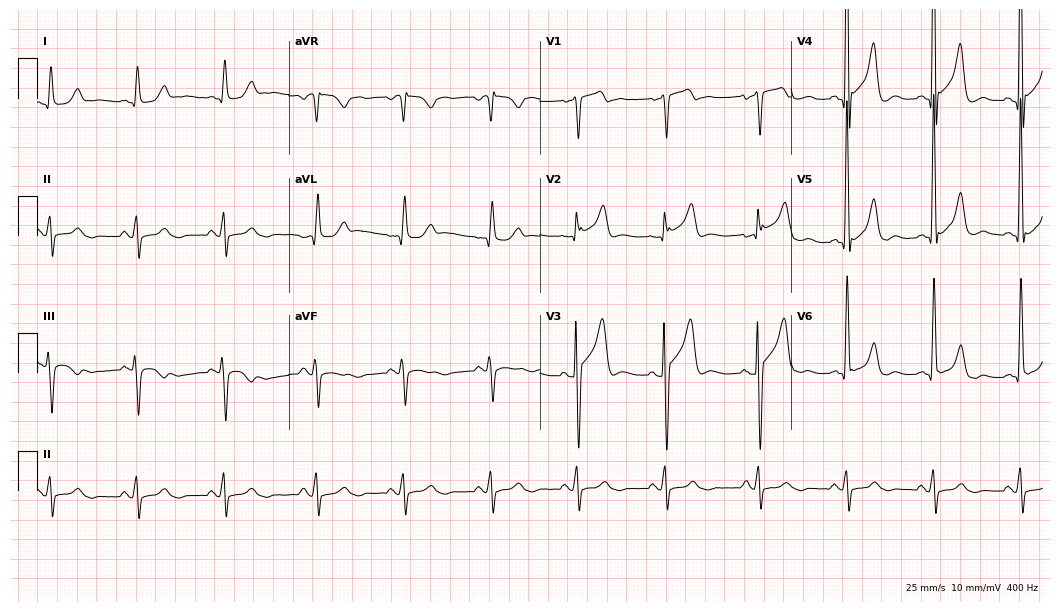
12-lead ECG (10.2-second recording at 400 Hz) from a 43-year-old male. Screened for six findings — first-degree AV block, right bundle branch block, left bundle branch block, sinus bradycardia, atrial fibrillation, sinus tachycardia — none is recorded.